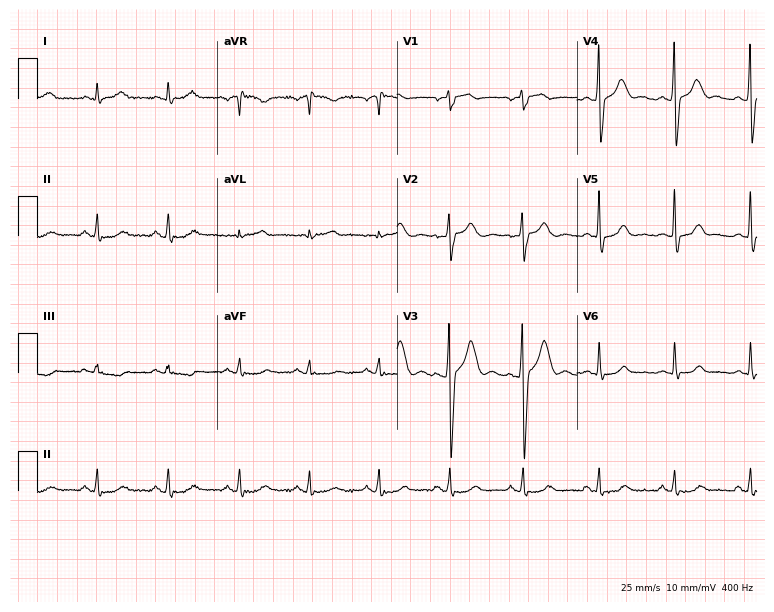
ECG — a 50-year-old male. Labelled as a normal ECG.